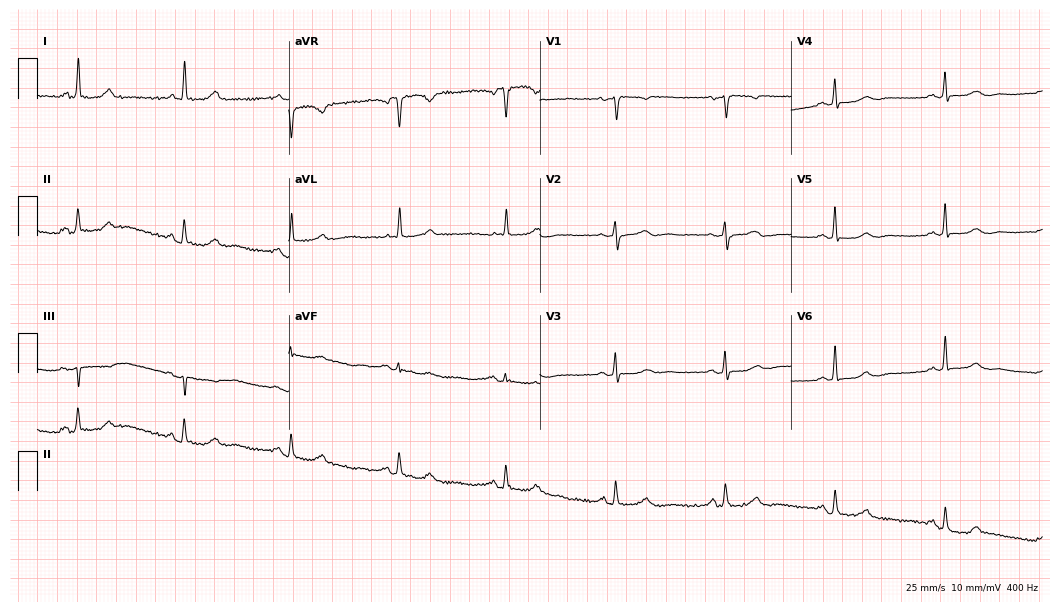
12-lead ECG from a female, 80 years old (10.2-second recording at 400 Hz). Recorded interpretation: within normal limits.